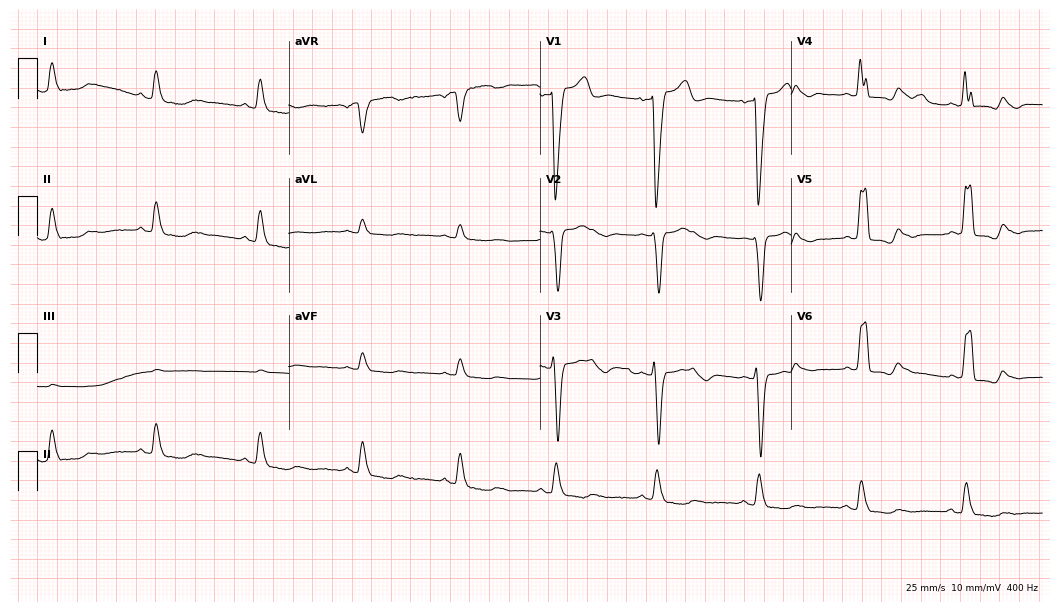
Standard 12-lead ECG recorded from a 68-year-old male patient (10.2-second recording at 400 Hz). The tracing shows left bundle branch block.